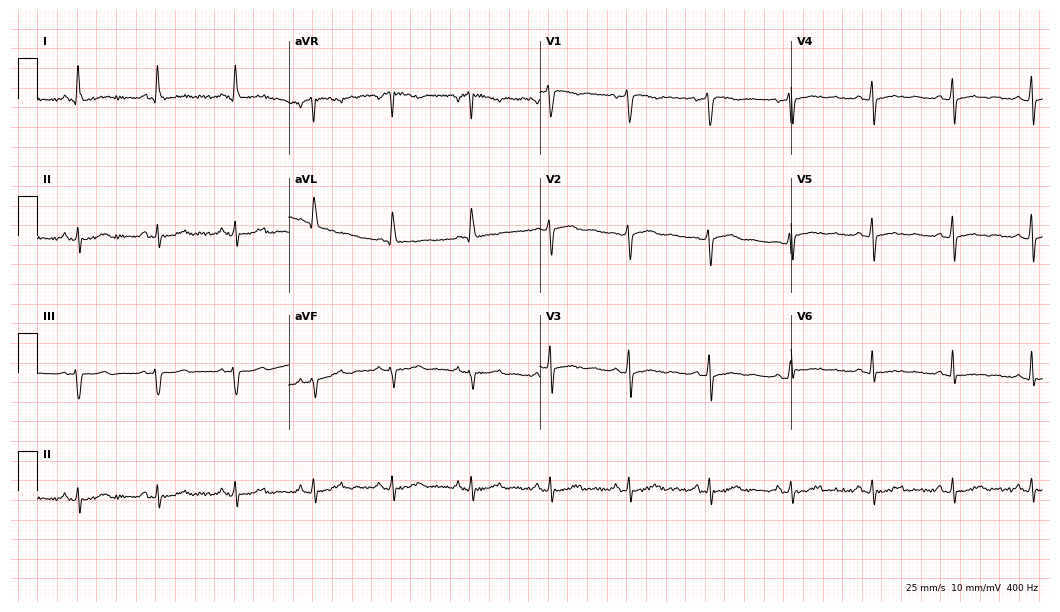
Standard 12-lead ECG recorded from a woman, 51 years old (10.2-second recording at 400 Hz). None of these six findings is recorded: first-degree AV block, right bundle branch block, left bundle branch block, sinus bradycardia, atrial fibrillation, sinus tachycardia.